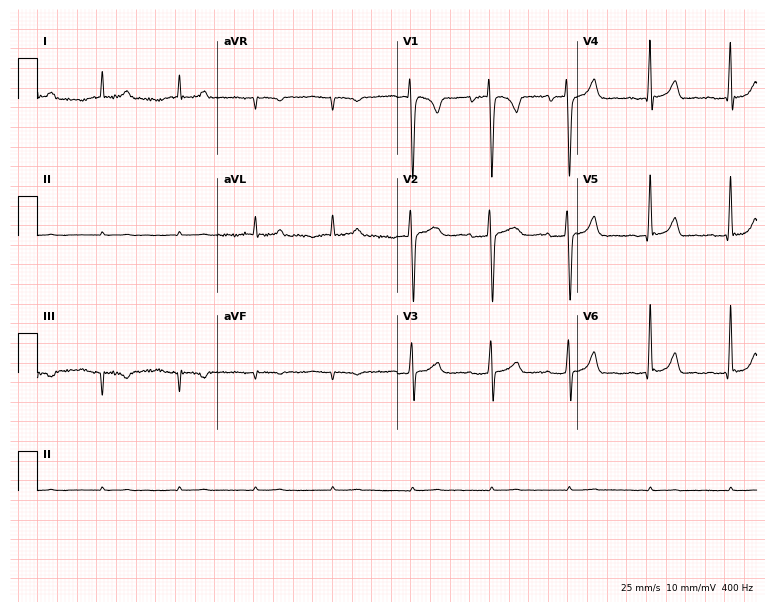
Electrocardiogram, a female patient, 41 years old. Of the six screened findings (first-degree AV block, right bundle branch block, left bundle branch block, sinus bradycardia, atrial fibrillation, sinus tachycardia), none is recorded.